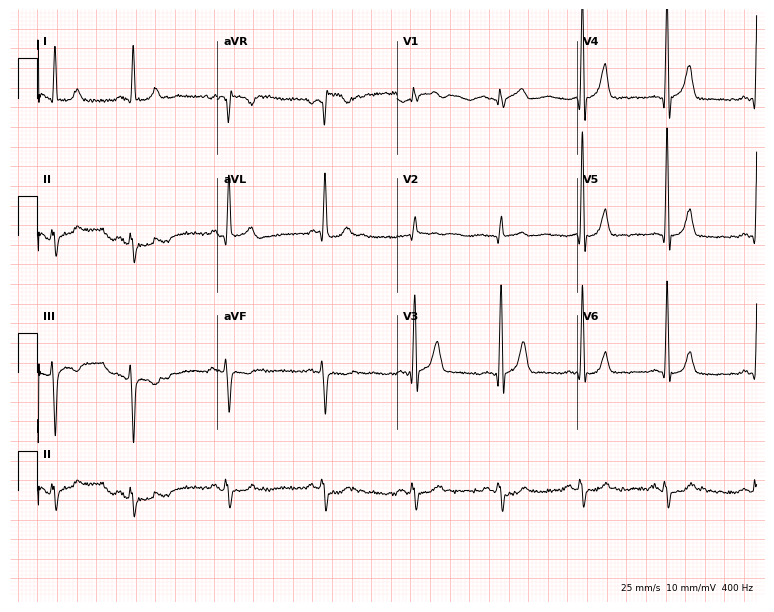
Standard 12-lead ECG recorded from a 61-year-old man. None of these six findings is recorded: first-degree AV block, right bundle branch block (RBBB), left bundle branch block (LBBB), sinus bradycardia, atrial fibrillation (AF), sinus tachycardia.